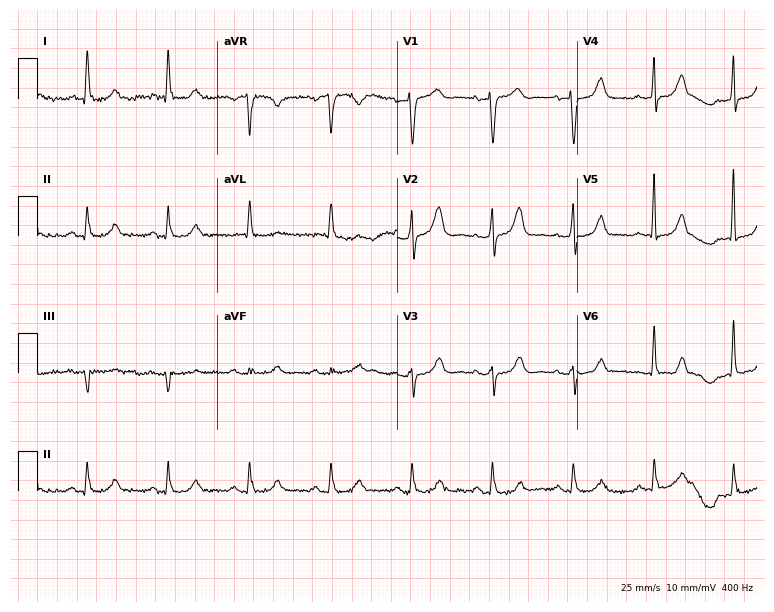
Electrocardiogram (7.3-second recording at 400 Hz), a female, 79 years old. Overall reading on record: normal ECG.